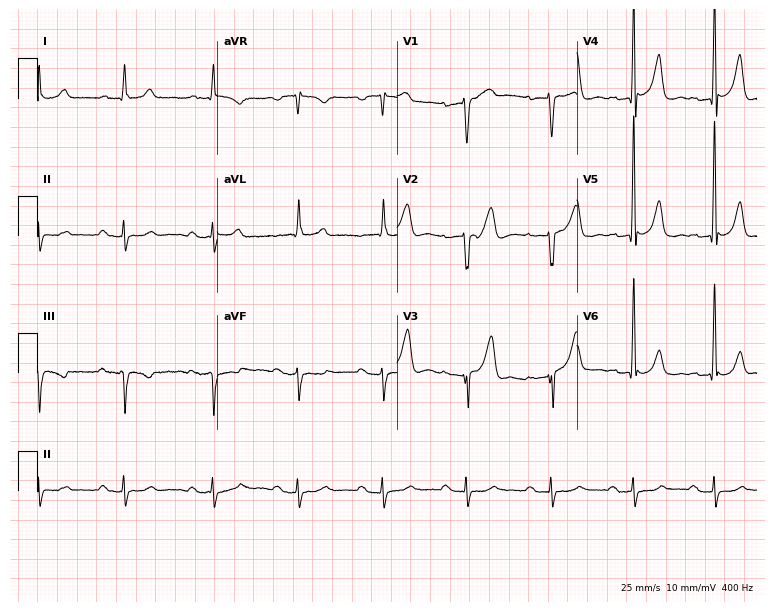
ECG (7.3-second recording at 400 Hz) — a male patient, 68 years old. Screened for six findings — first-degree AV block, right bundle branch block, left bundle branch block, sinus bradycardia, atrial fibrillation, sinus tachycardia — none is recorded.